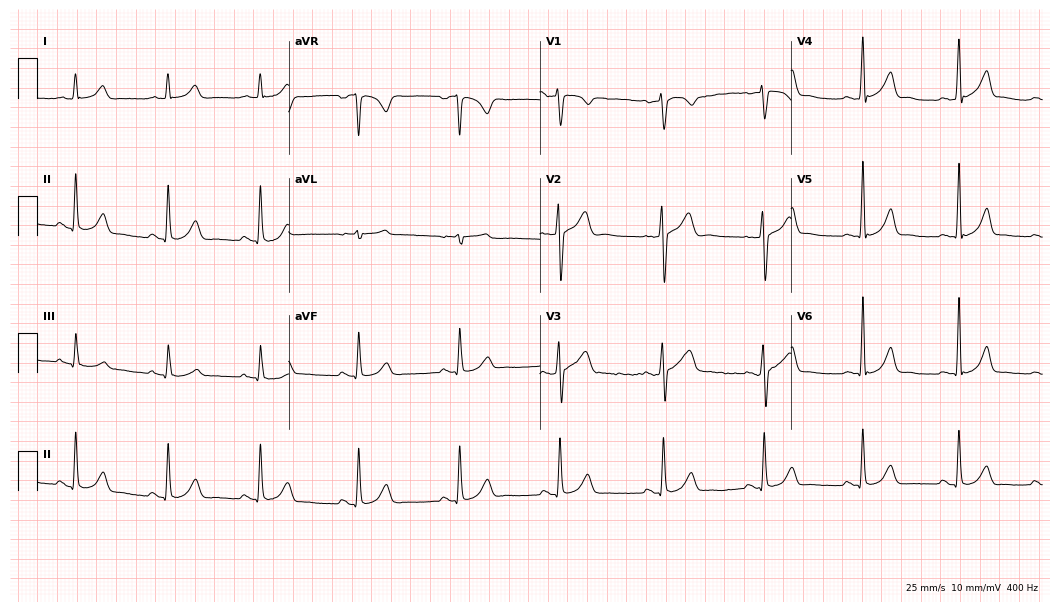
12-lead ECG from a male, 52 years old. No first-degree AV block, right bundle branch block, left bundle branch block, sinus bradycardia, atrial fibrillation or sinus tachycardia recorded for this tracing.